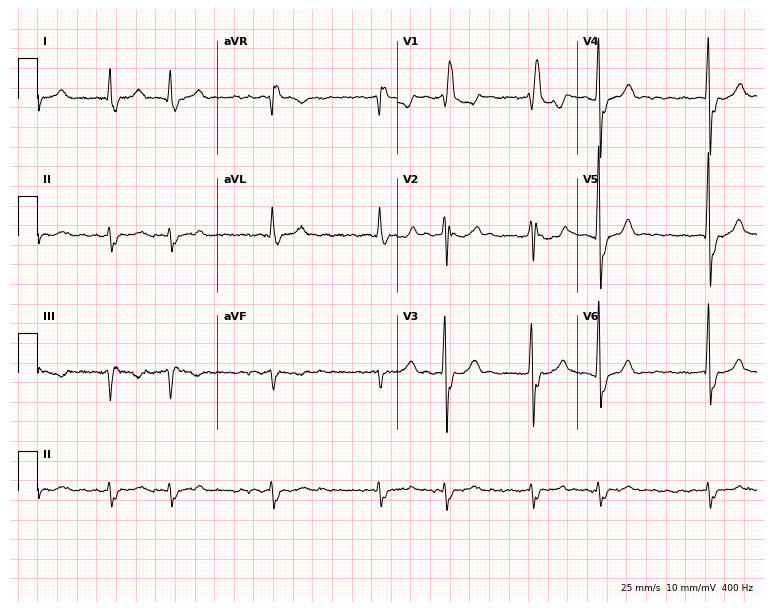
12-lead ECG from a man, 76 years old (7.3-second recording at 400 Hz). Shows right bundle branch block, atrial fibrillation.